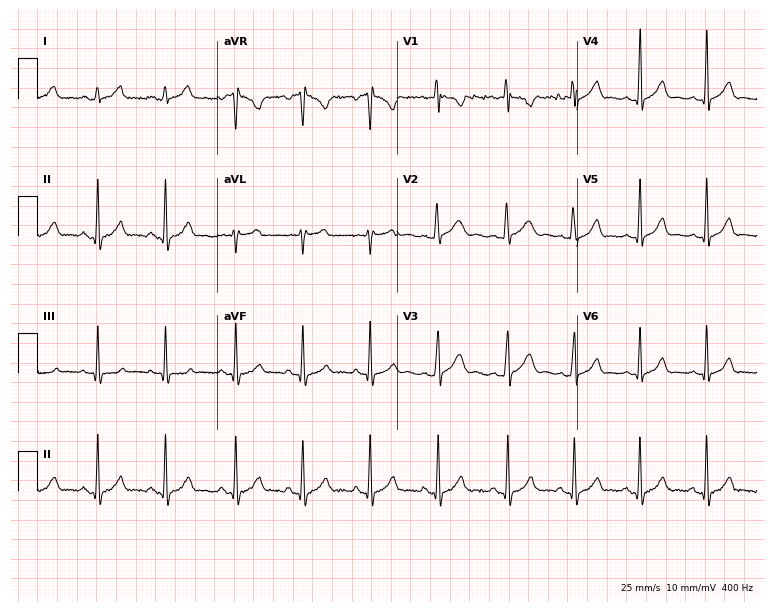
12-lead ECG from a woman, 22 years old (7.3-second recording at 400 Hz). Recorded interpretation: within normal limits.